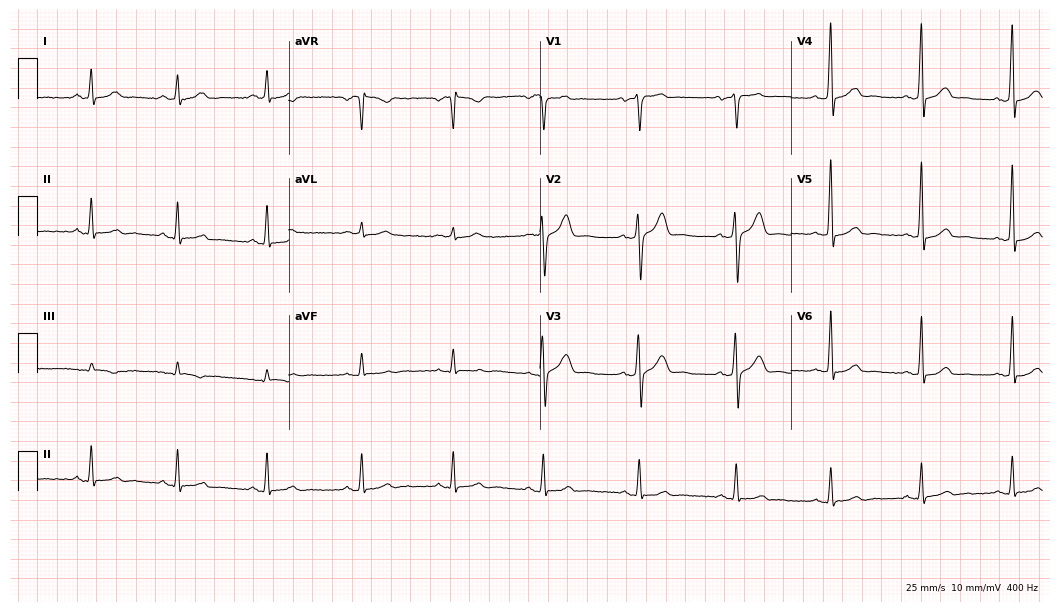
ECG (10.2-second recording at 400 Hz) — a 64-year-old man. Screened for six findings — first-degree AV block, right bundle branch block (RBBB), left bundle branch block (LBBB), sinus bradycardia, atrial fibrillation (AF), sinus tachycardia — none is recorded.